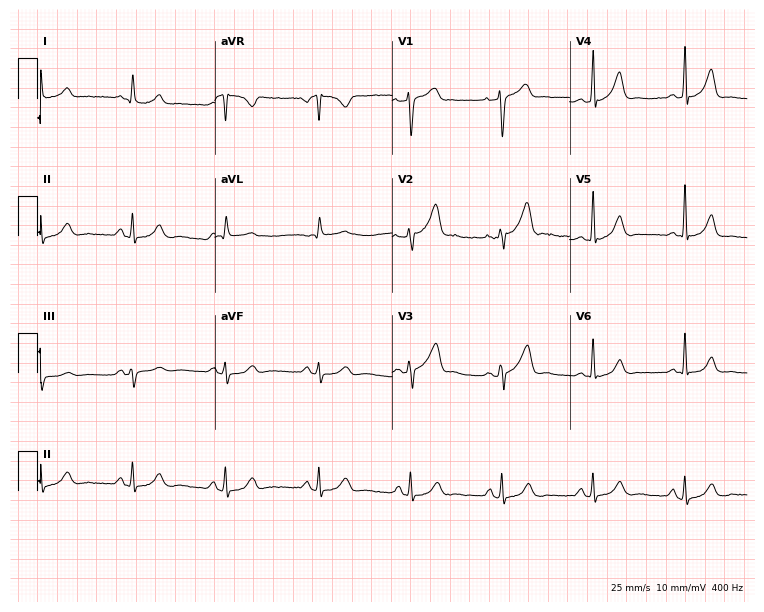
ECG — a 54-year-old man. Labelled as a normal ECG.